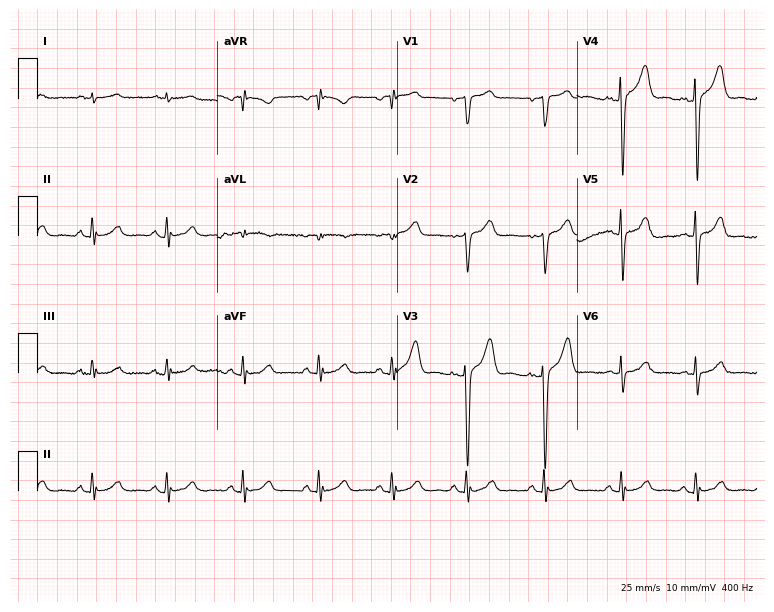
ECG (7.3-second recording at 400 Hz) — a 54-year-old man. Screened for six findings — first-degree AV block, right bundle branch block, left bundle branch block, sinus bradycardia, atrial fibrillation, sinus tachycardia — none is recorded.